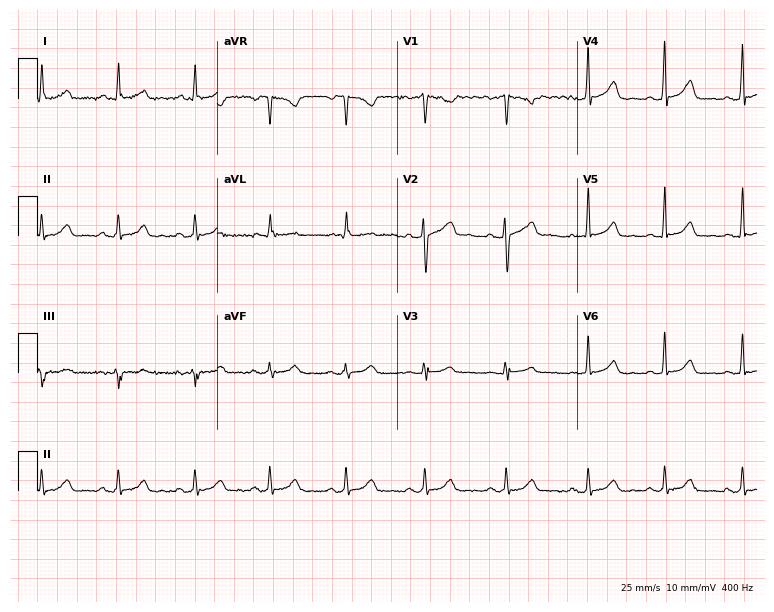
Standard 12-lead ECG recorded from a 32-year-old male (7.3-second recording at 400 Hz). Read as a normal ECG.